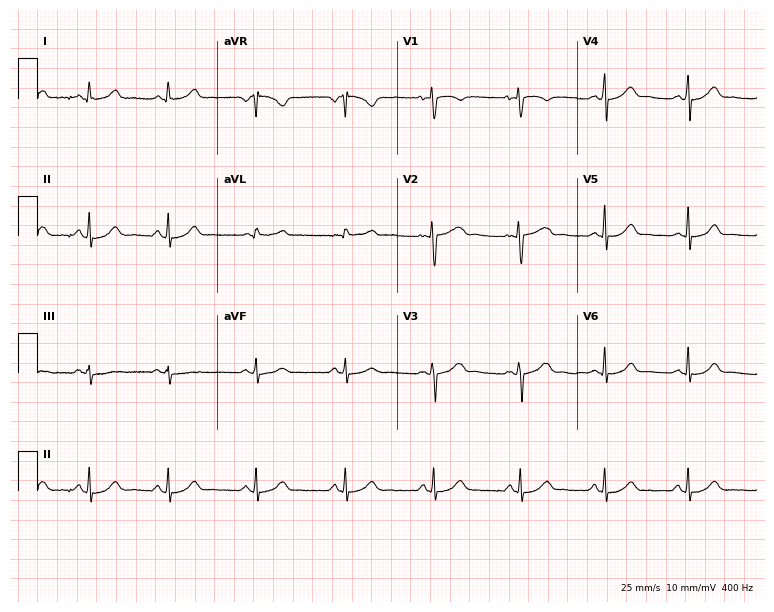
12-lead ECG (7.3-second recording at 400 Hz) from a woman, 46 years old. Labelled as a normal ECG.